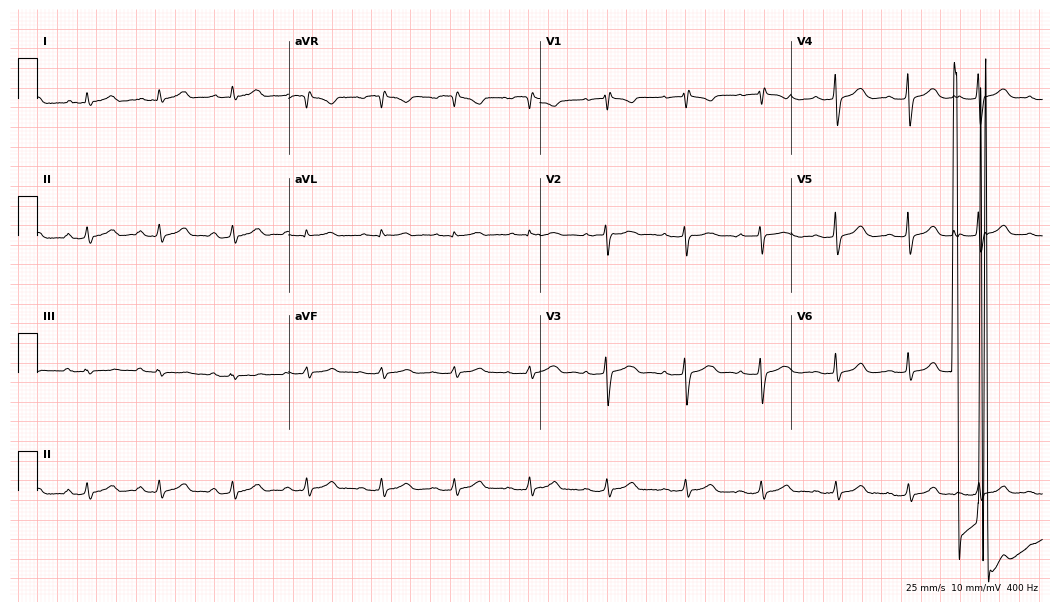
ECG (10.2-second recording at 400 Hz) — a female, 33 years old. Labelled as a normal ECG.